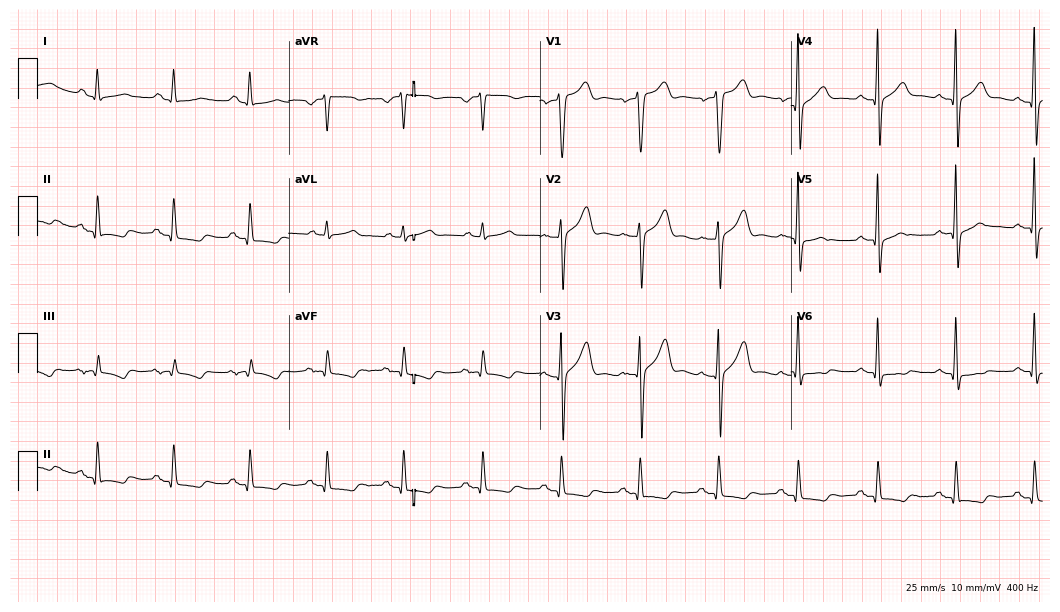
12-lead ECG from a man, 67 years old. No first-degree AV block, right bundle branch block (RBBB), left bundle branch block (LBBB), sinus bradycardia, atrial fibrillation (AF) or sinus tachycardia recorded for this tracing.